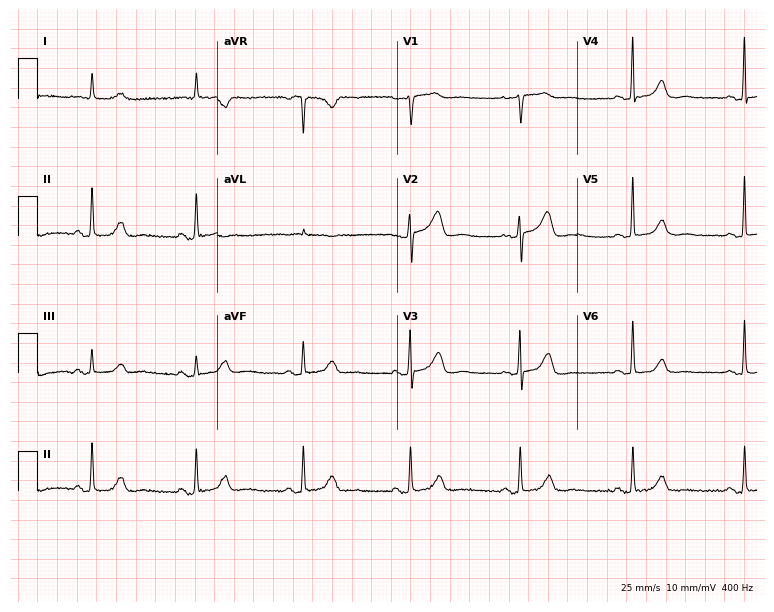
12-lead ECG (7.3-second recording at 400 Hz) from a female, 76 years old. Screened for six findings — first-degree AV block, right bundle branch block, left bundle branch block, sinus bradycardia, atrial fibrillation, sinus tachycardia — none is recorded. Other findings, if any, are not listed.